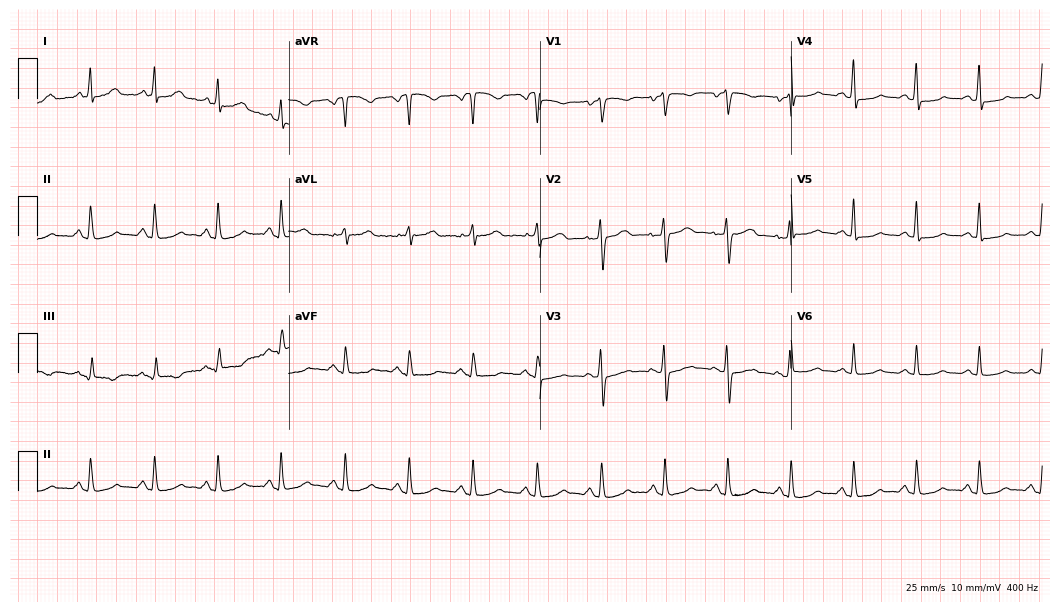
ECG (10.2-second recording at 400 Hz) — a 50-year-old female patient. Labelled as a normal ECG.